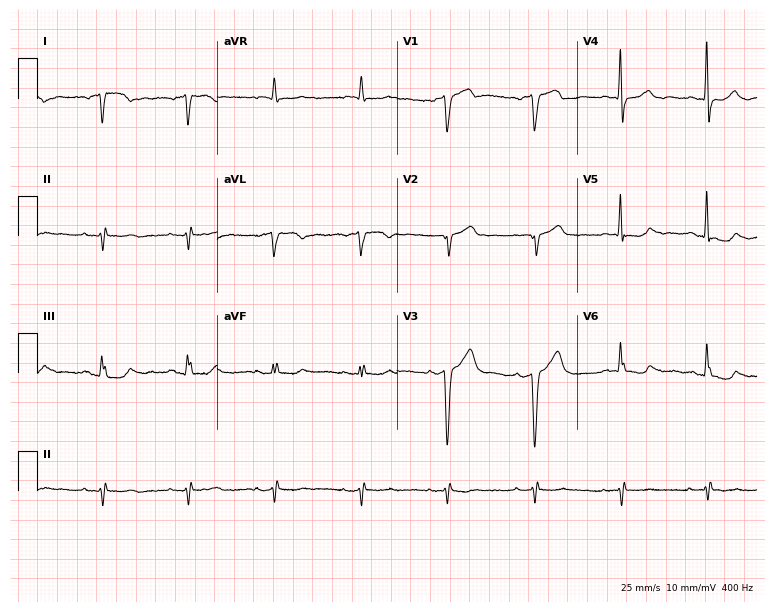
Standard 12-lead ECG recorded from an 80-year-old man (7.3-second recording at 400 Hz). None of these six findings is recorded: first-degree AV block, right bundle branch block, left bundle branch block, sinus bradycardia, atrial fibrillation, sinus tachycardia. Only these six findings were labelled.